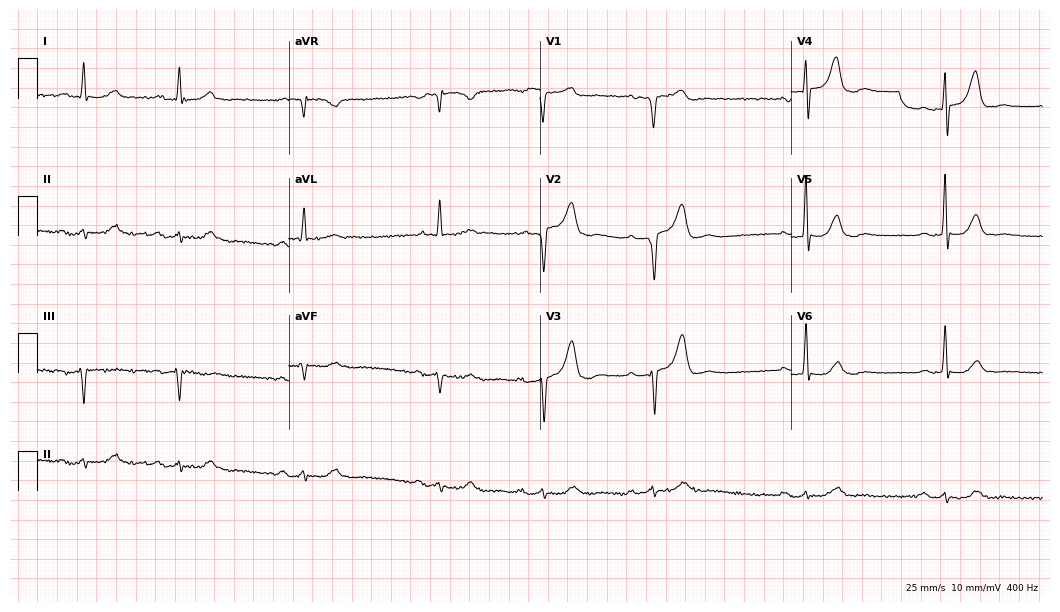
12-lead ECG (10.2-second recording at 400 Hz) from a man, 73 years old. Screened for six findings — first-degree AV block, right bundle branch block, left bundle branch block, sinus bradycardia, atrial fibrillation, sinus tachycardia — none is recorded.